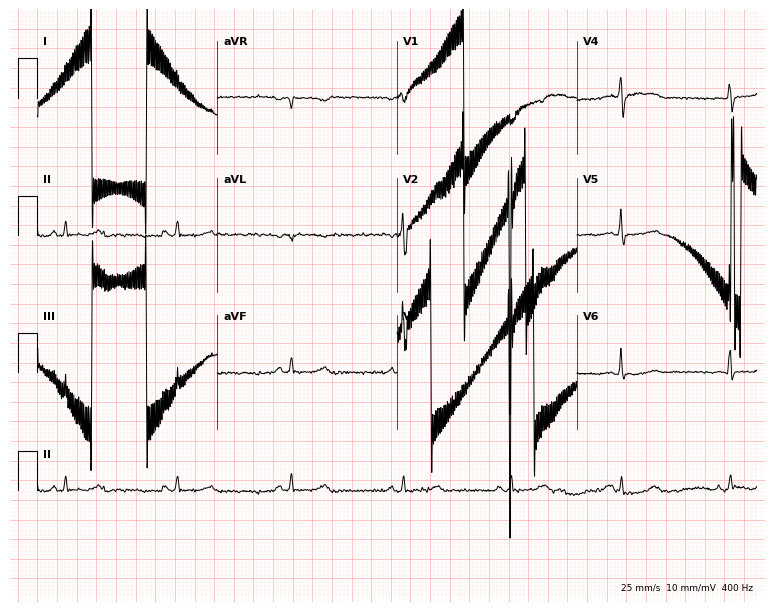
Electrocardiogram, a 43-year-old male patient. Of the six screened findings (first-degree AV block, right bundle branch block, left bundle branch block, sinus bradycardia, atrial fibrillation, sinus tachycardia), none is recorded. Only these six findings were labelled.